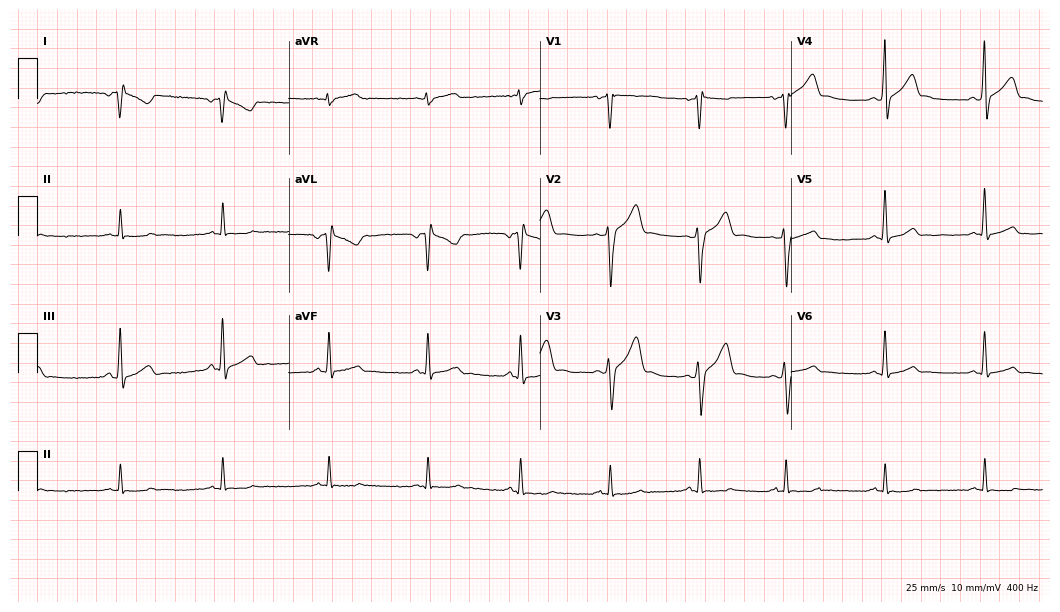
12-lead ECG from a man, 21 years old. Screened for six findings — first-degree AV block, right bundle branch block, left bundle branch block, sinus bradycardia, atrial fibrillation, sinus tachycardia — none is recorded. Findings outside these six are not listed.